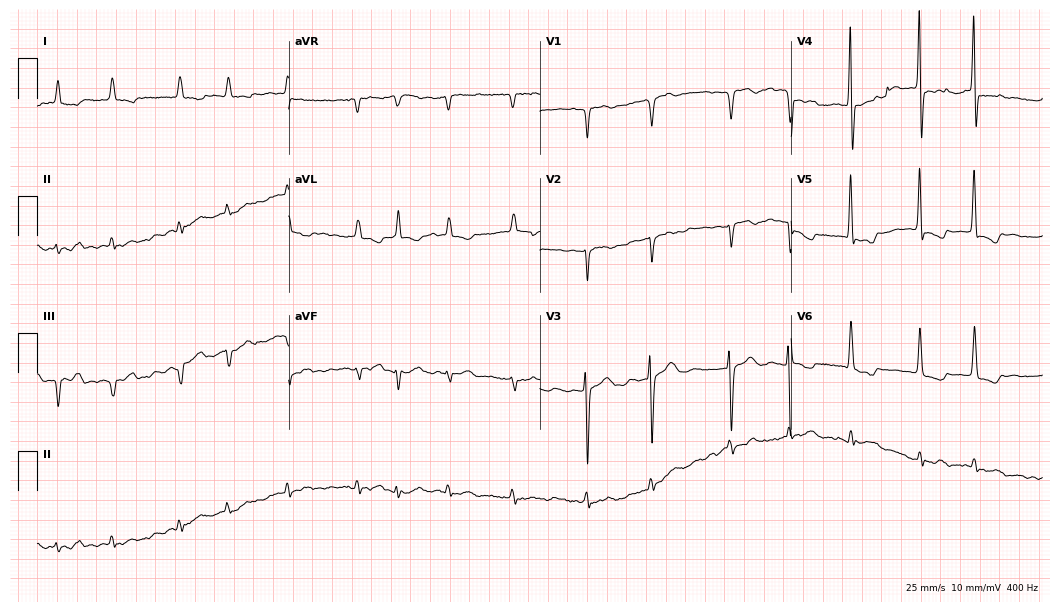
Standard 12-lead ECG recorded from a woman, 81 years old. None of these six findings is recorded: first-degree AV block, right bundle branch block, left bundle branch block, sinus bradycardia, atrial fibrillation, sinus tachycardia. Other findings, if any, are not listed.